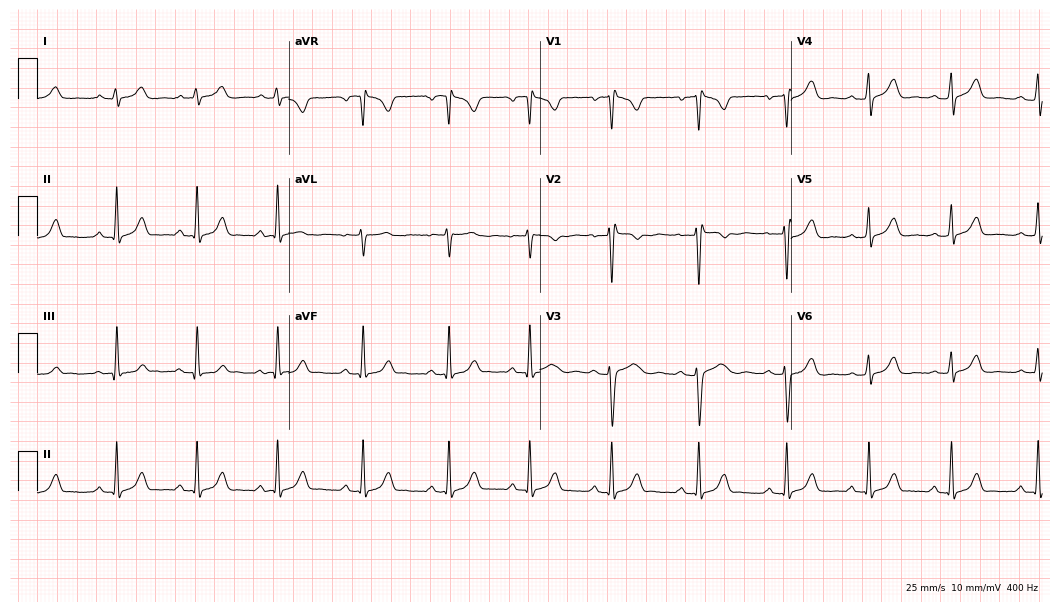
Standard 12-lead ECG recorded from a 29-year-old female. None of these six findings is recorded: first-degree AV block, right bundle branch block (RBBB), left bundle branch block (LBBB), sinus bradycardia, atrial fibrillation (AF), sinus tachycardia.